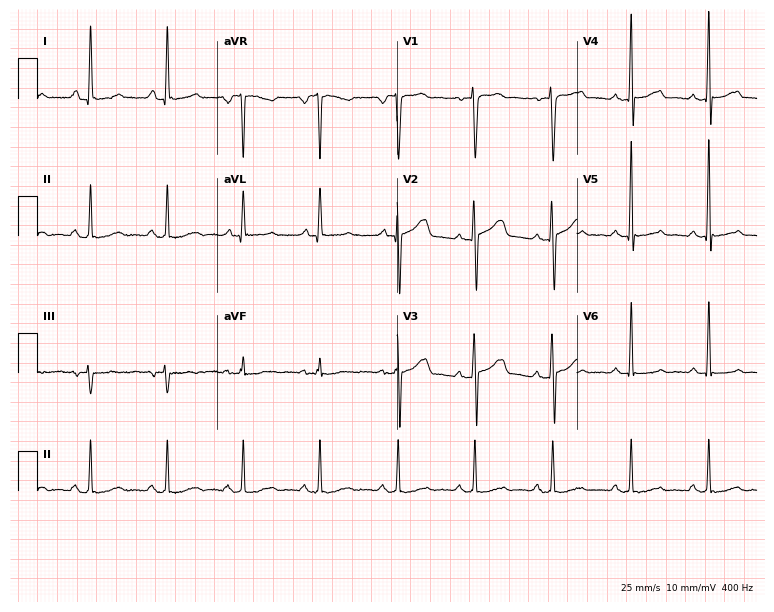
Electrocardiogram, a 32-year-old man. Overall reading on record: normal ECG.